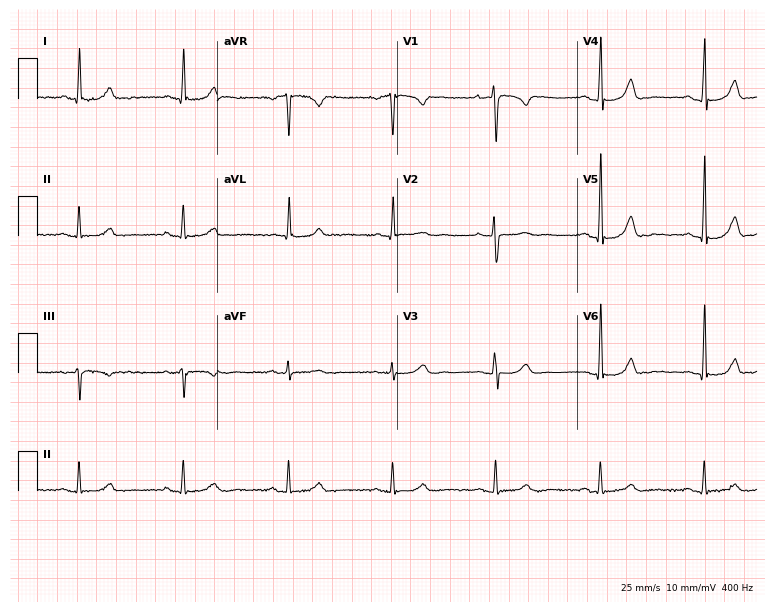
12-lead ECG from a female patient, 46 years old. Recorded interpretation: within normal limits.